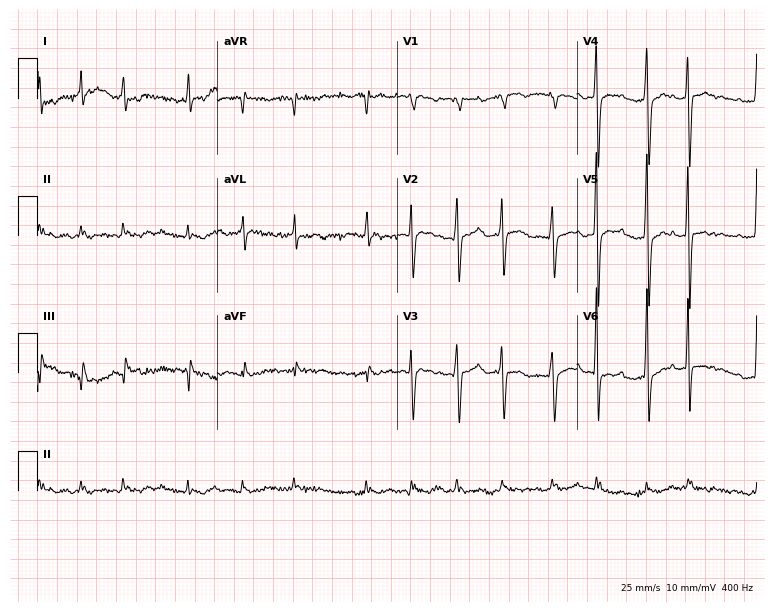
12-lead ECG from a male patient, 72 years old. Shows atrial fibrillation.